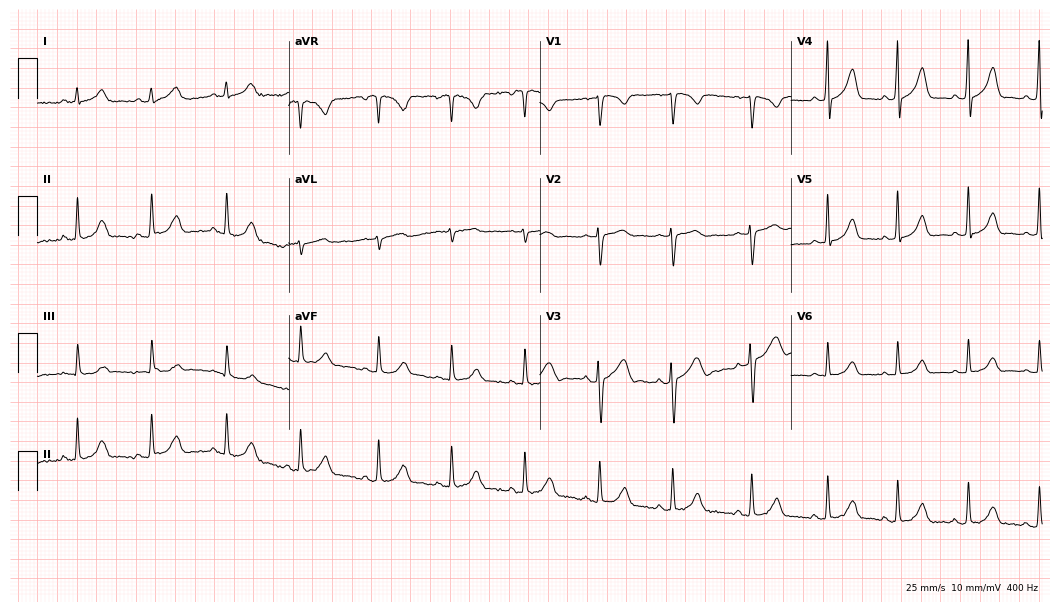
Resting 12-lead electrocardiogram (10.2-second recording at 400 Hz). Patient: a female, 23 years old. Read as a normal ECG.